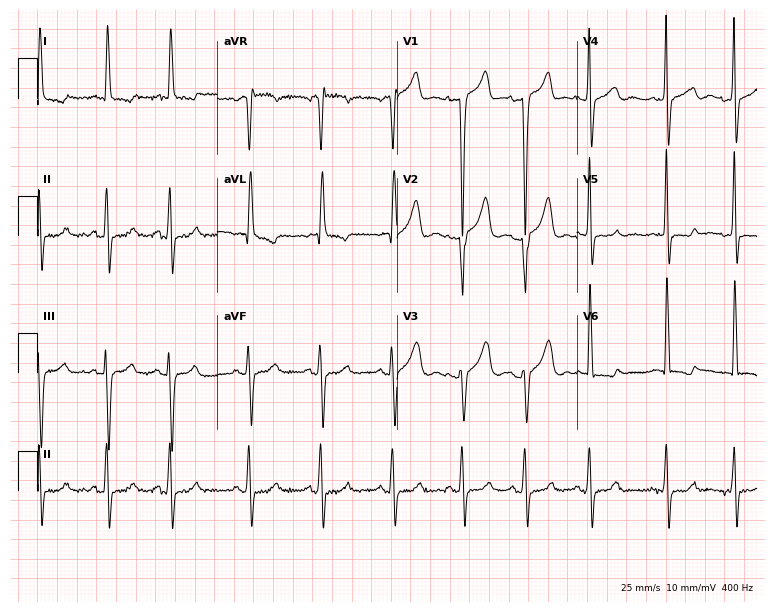
Standard 12-lead ECG recorded from a 73-year-old female (7.3-second recording at 400 Hz). None of these six findings is recorded: first-degree AV block, right bundle branch block, left bundle branch block, sinus bradycardia, atrial fibrillation, sinus tachycardia.